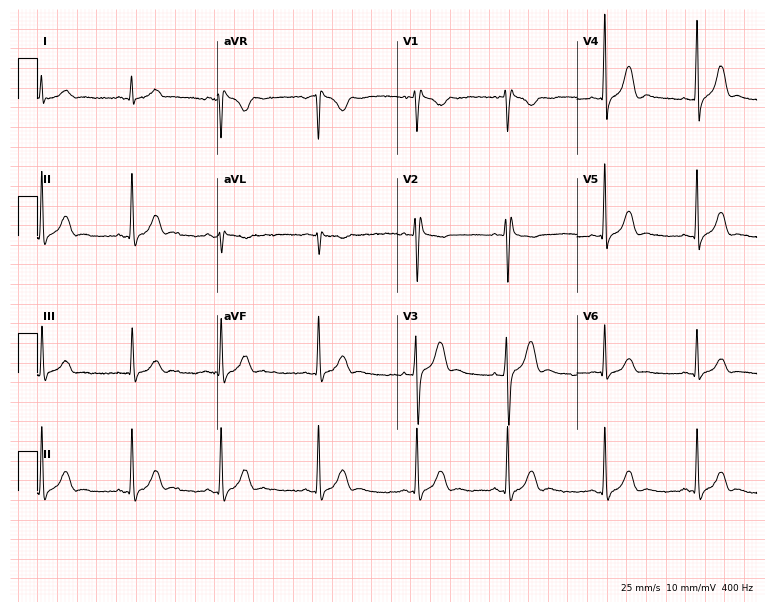
12-lead ECG from a 21-year-old man. Recorded interpretation: within normal limits.